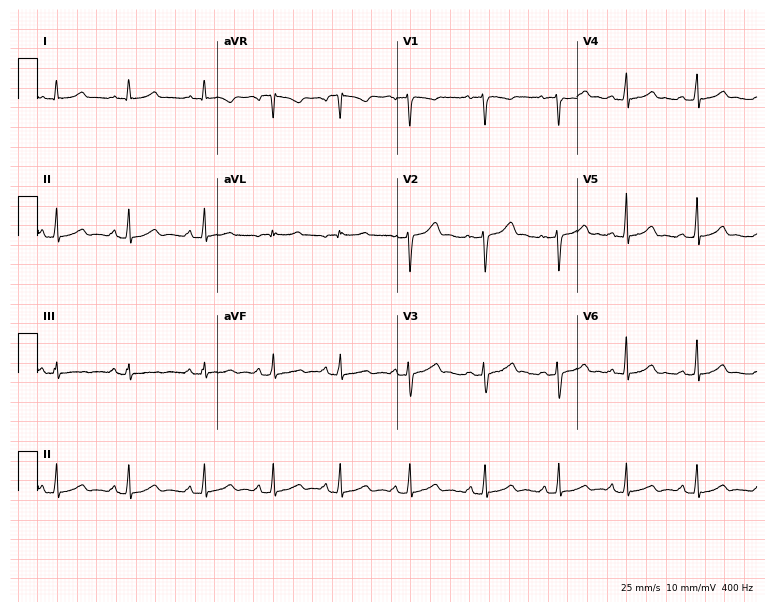
Standard 12-lead ECG recorded from a 17-year-old female. Read as a normal ECG.